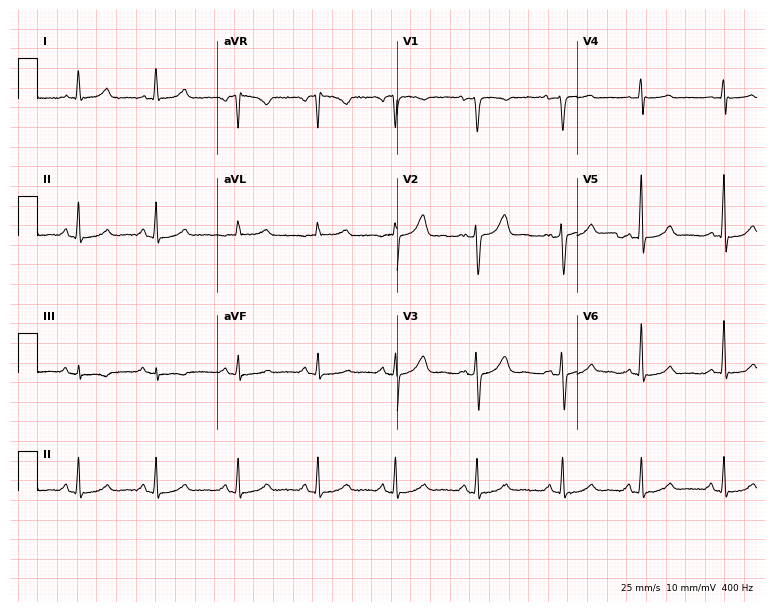
Electrocardiogram, a 42-year-old female. Overall reading on record: normal ECG.